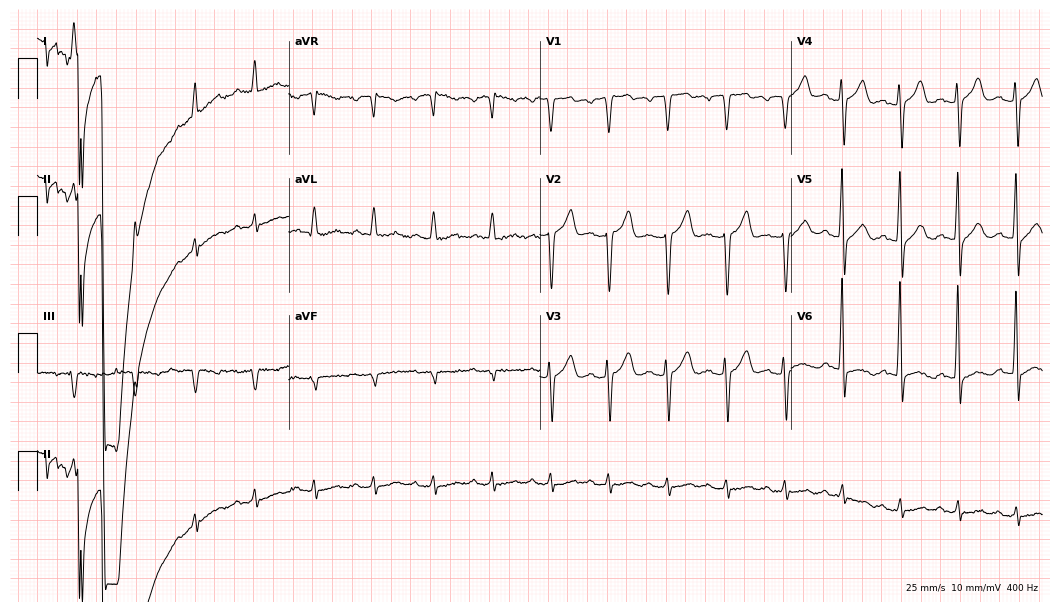
ECG (10.2-second recording at 400 Hz) — a 78-year-old man. Labelled as a normal ECG.